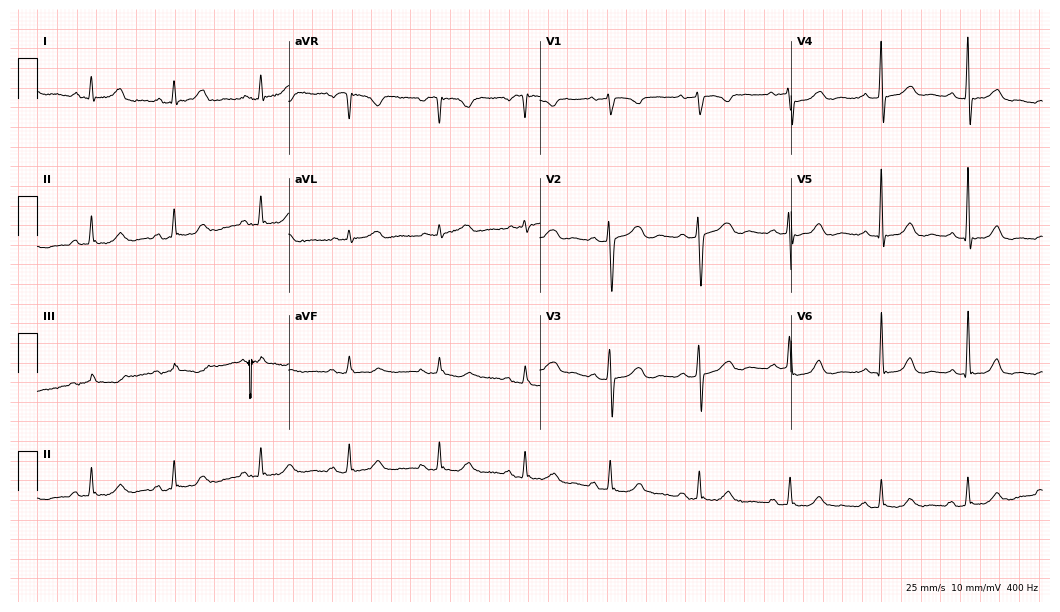
Resting 12-lead electrocardiogram. Patient: a 54-year-old female. Read as a normal ECG.